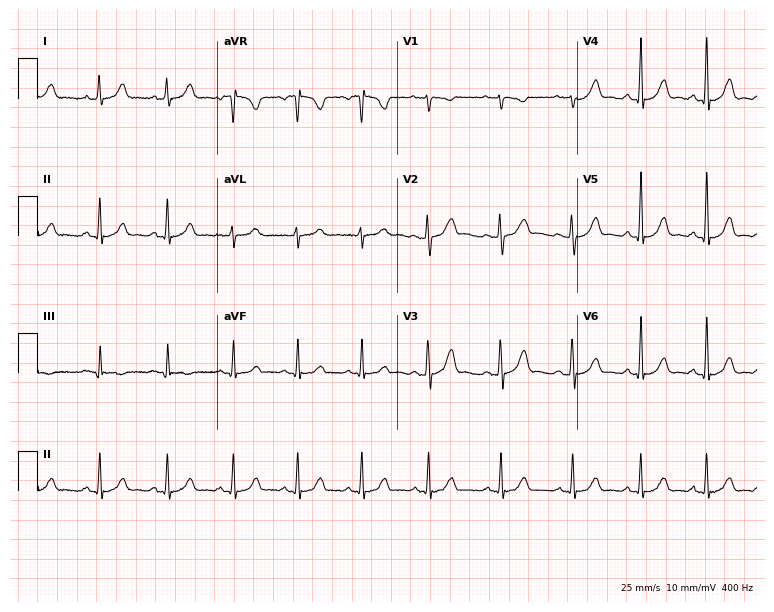
12-lead ECG from a 22-year-old woman. Labelled as a normal ECG.